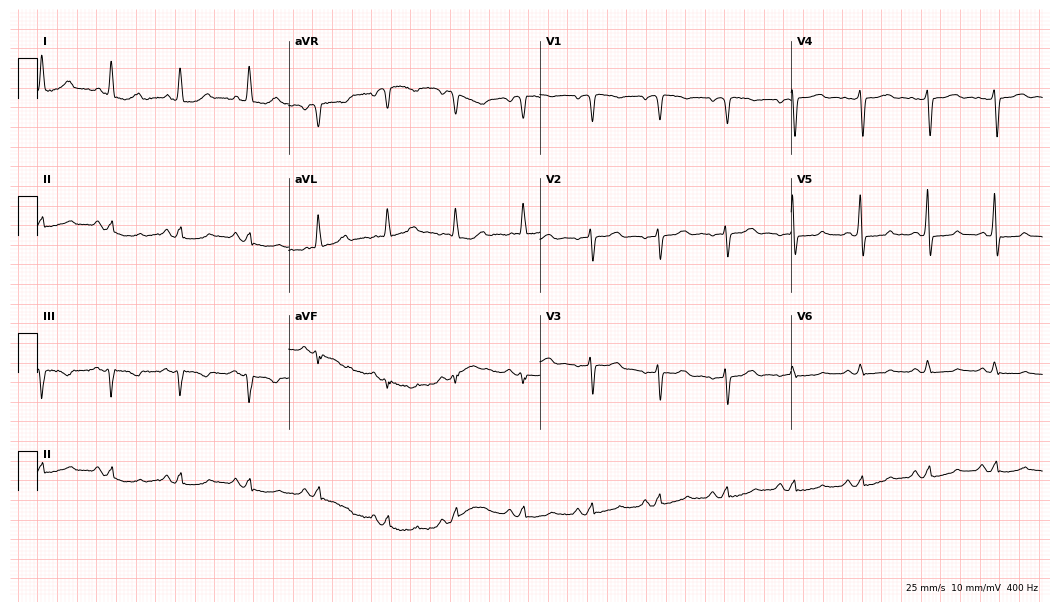
ECG (10.2-second recording at 400 Hz) — a 75-year-old female patient. Screened for six findings — first-degree AV block, right bundle branch block, left bundle branch block, sinus bradycardia, atrial fibrillation, sinus tachycardia — none is recorded.